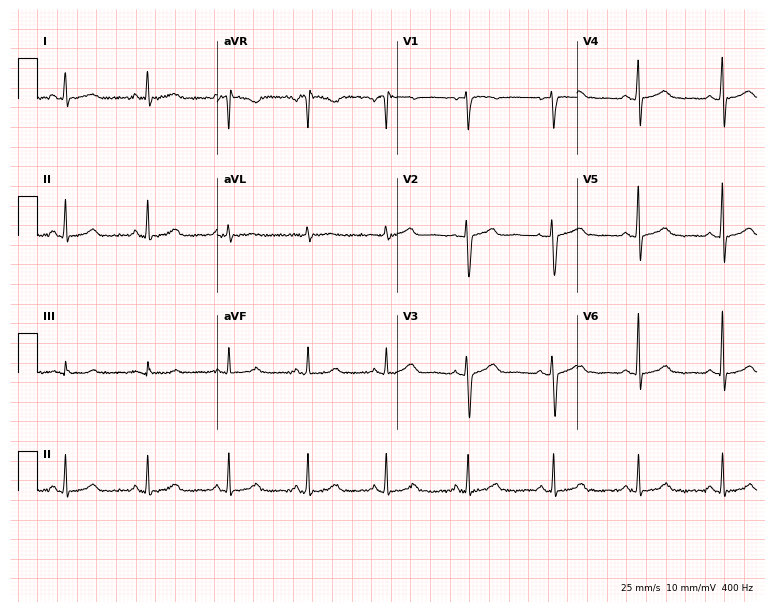
Standard 12-lead ECG recorded from a 48-year-old woman (7.3-second recording at 400 Hz). Read as a normal ECG.